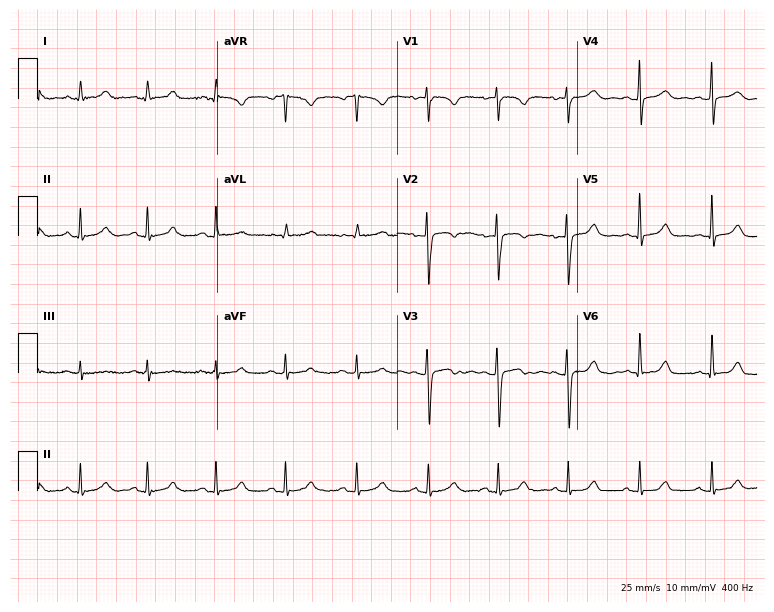
Resting 12-lead electrocardiogram (7.3-second recording at 400 Hz). Patient: a 30-year-old woman. None of these six findings is recorded: first-degree AV block, right bundle branch block, left bundle branch block, sinus bradycardia, atrial fibrillation, sinus tachycardia.